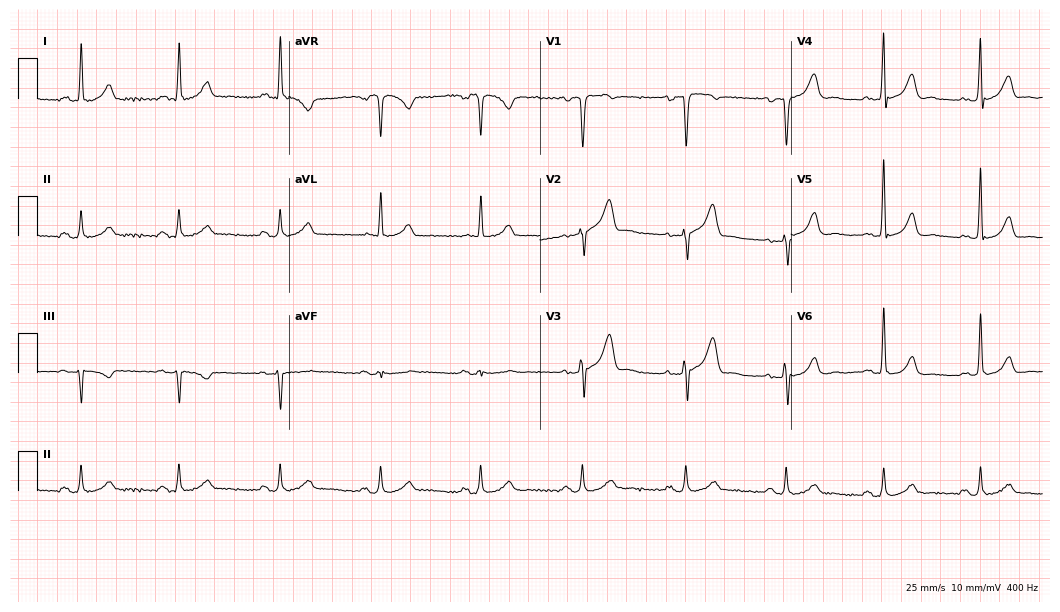
Electrocardiogram (10.2-second recording at 400 Hz), a male patient, 60 years old. Overall reading on record: normal ECG.